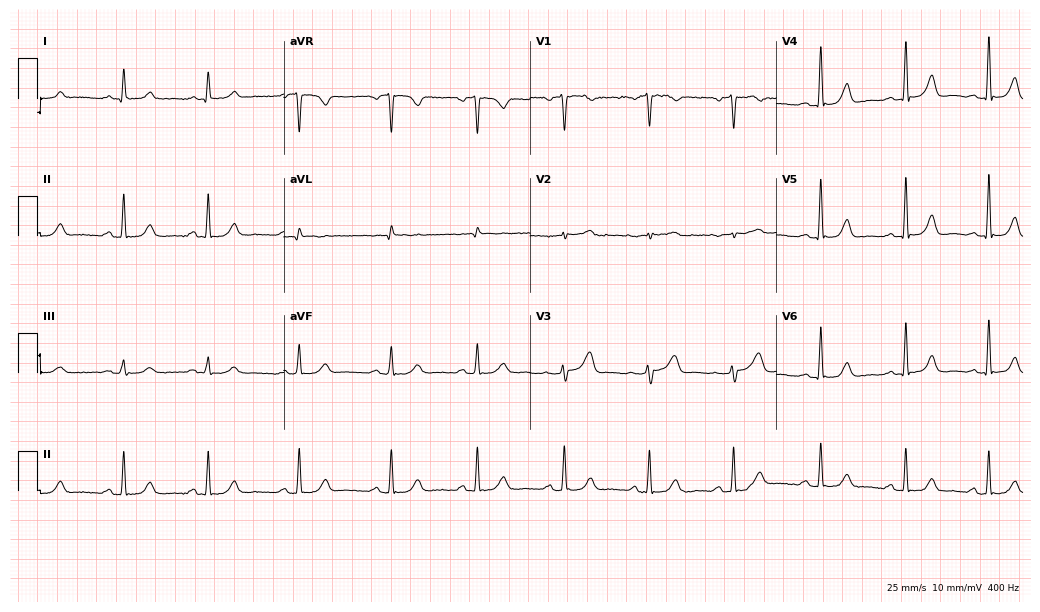
12-lead ECG (10-second recording at 400 Hz) from a 40-year-old female patient. Labelled as a normal ECG.